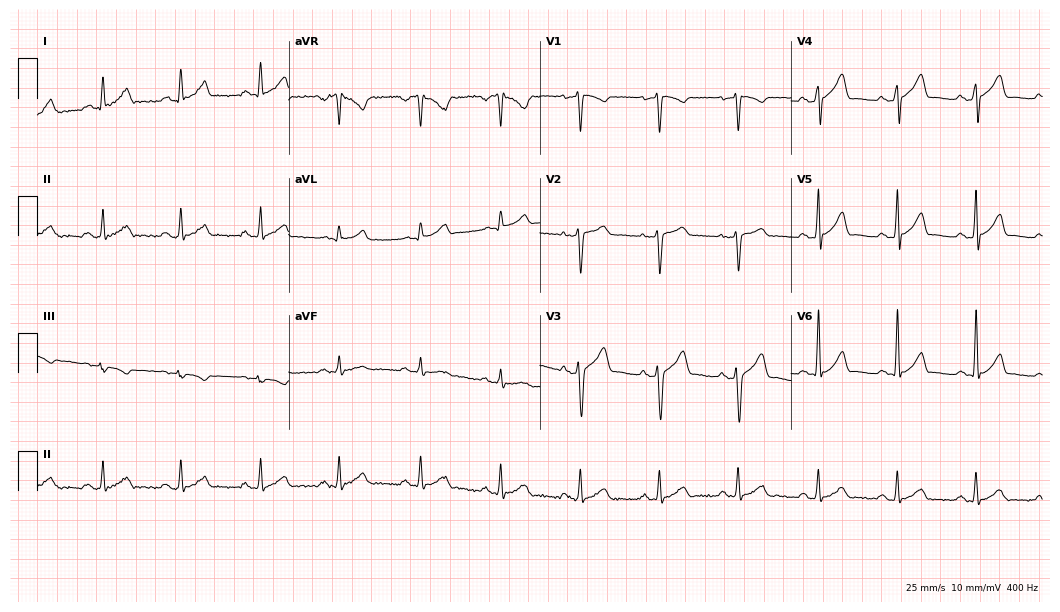
ECG (10.2-second recording at 400 Hz) — a 49-year-old male patient. Labelled as a normal ECG.